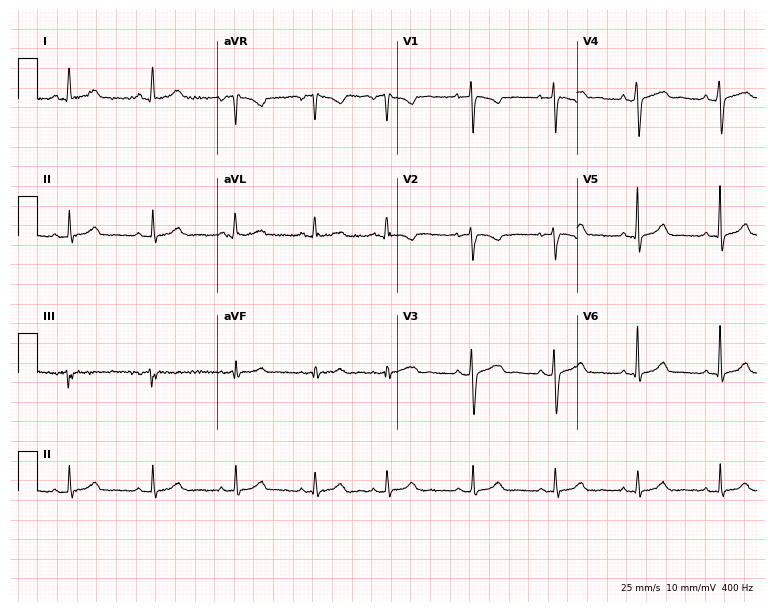
Resting 12-lead electrocardiogram (7.3-second recording at 400 Hz). Patient: a 27-year-old female. None of these six findings is recorded: first-degree AV block, right bundle branch block, left bundle branch block, sinus bradycardia, atrial fibrillation, sinus tachycardia. Only these six findings were labelled.